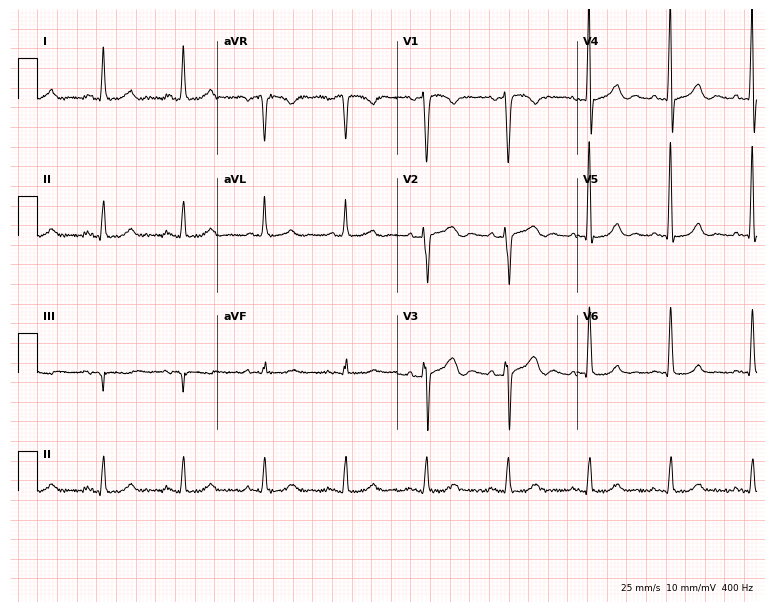
ECG — a female patient, 43 years old. Screened for six findings — first-degree AV block, right bundle branch block (RBBB), left bundle branch block (LBBB), sinus bradycardia, atrial fibrillation (AF), sinus tachycardia — none is recorded. Only these six findings were labelled.